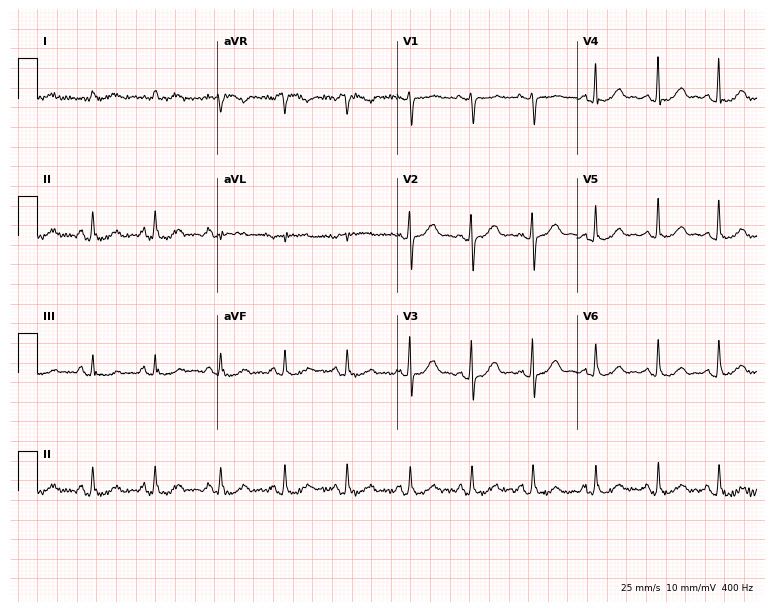
Resting 12-lead electrocardiogram (7.3-second recording at 400 Hz). Patient: a 69-year-old woman. None of these six findings is recorded: first-degree AV block, right bundle branch block, left bundle branch block, sinus bradycardia, atrial fibrillation, sinus tachycardia.